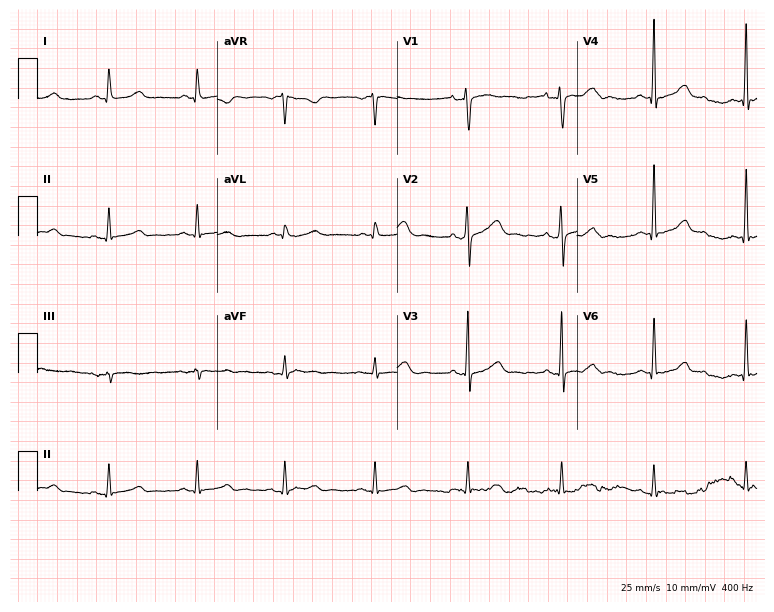
ECG (7.3-second recording at 400 Hz) — a 44-year-old woman. Labelled as a normal ECG.